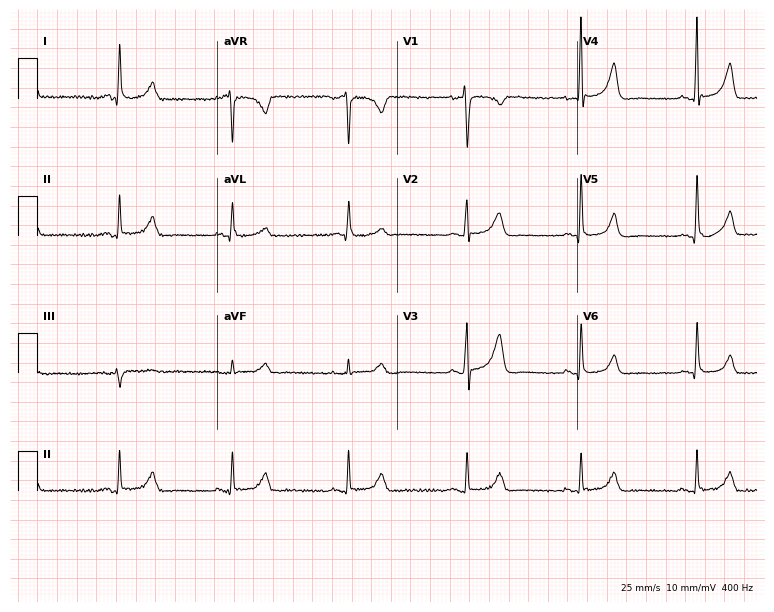
Electrocardiogram (7.3-second recording at 400 Hz), a female, 56 years old. Of the six screened findings (first-degree AV block, right bundle branch block, left bundle branch block, sinus bradycardia, atrial fibrillation, sinus tachycardia), none is recorded. Findings outside these six are not listed.